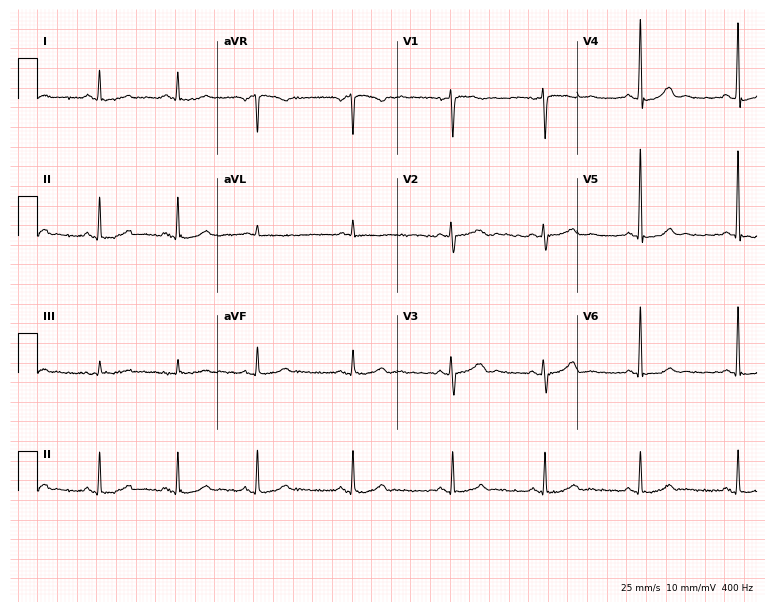
Electrocardiogram, a woman, 38 years old. Of the six screened findings (first-degree AV block, right bundle branch block, left bundle branch block, sinus bradycardia, atrial fibrillation, sinus tachycardia), none is recorded. Findings outside these six are not listed.